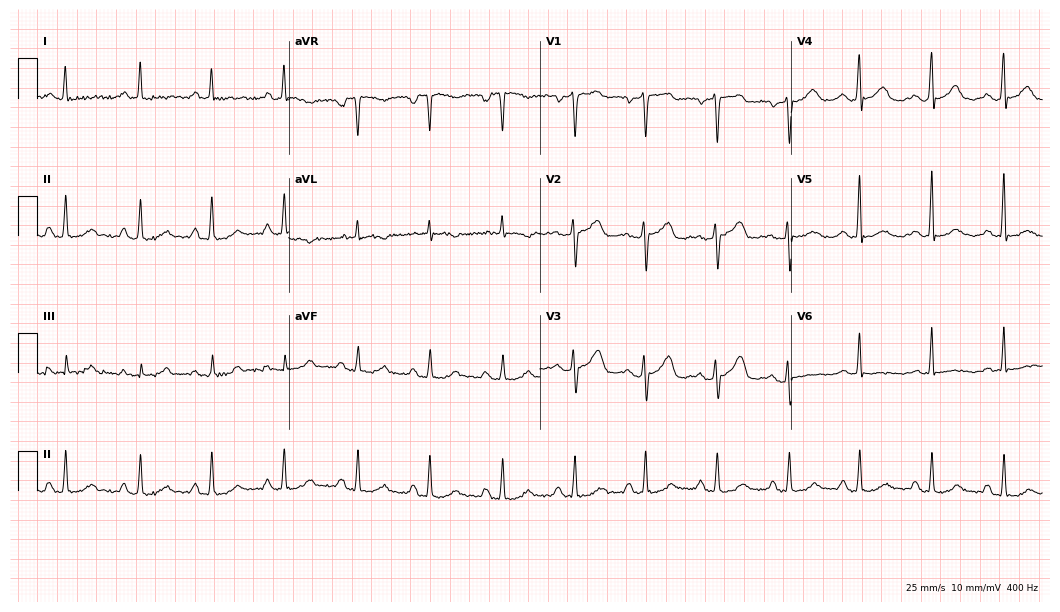
Electrocardiogram, a 50-year-old female. Of the six screened findings (first-degree AV block, right bundle branch block (RBBB), left bundle branch block (LBBB), sinus bradycardia, atrial fibrillation (AF), sinus tachycardia), none is recorded. Only these six findings were labelled.